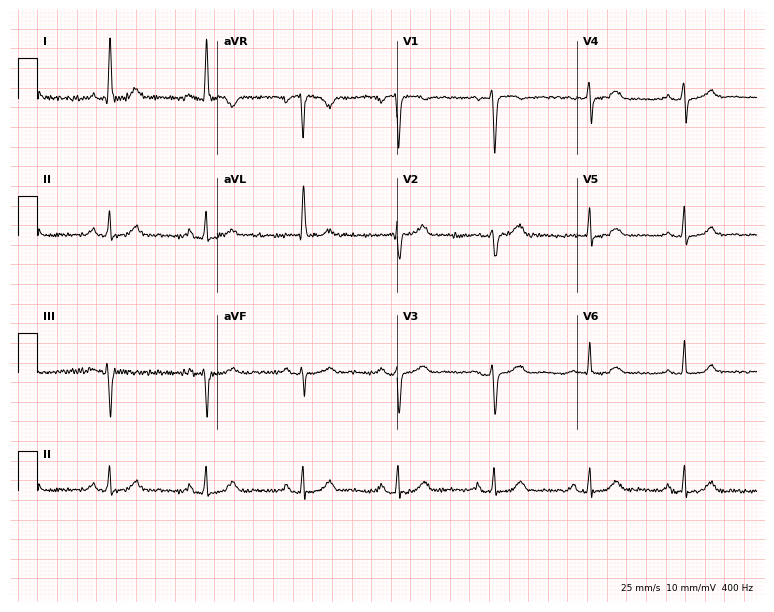
12-lead ECG from a female patient, 60 years old. Recorded interpretation: within normal limits.